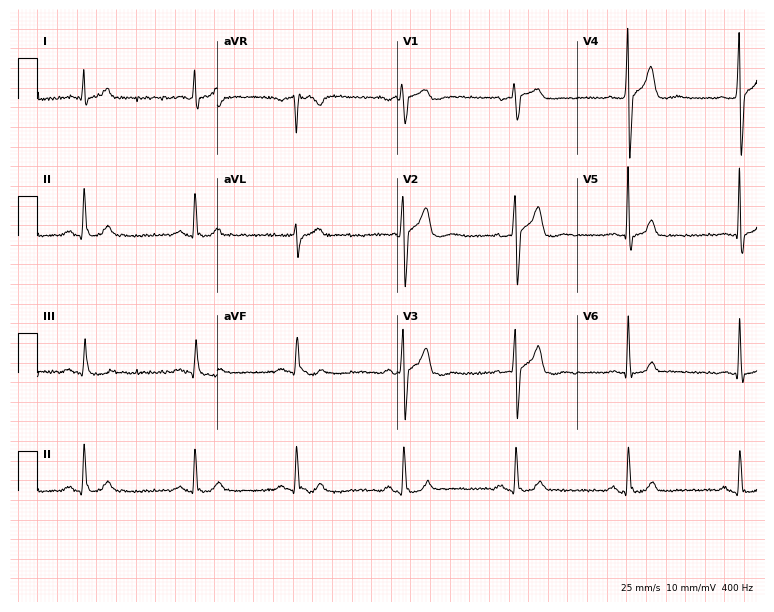
Resting 12-lead electrocardiogram. Patient: a man, 52 years old. None of these six findings is recorded: first-degree AV block, right bundle branch block (RBBB), left bundle branch block (LBBB), sinus bradycardia, atrial fibrillation (AF), sinus tachycardia. Only these six findings were labelled.